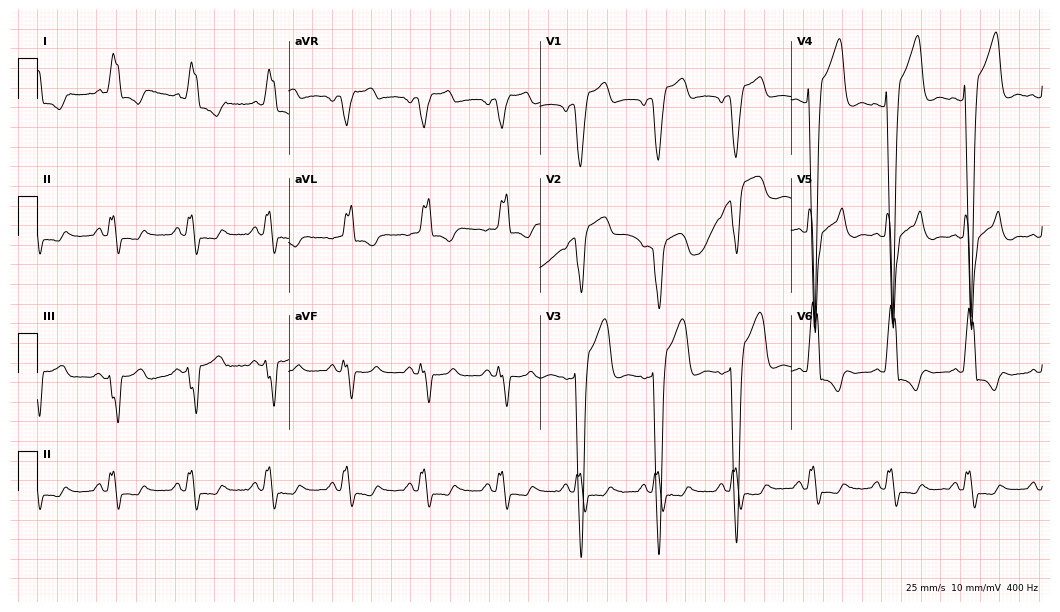
Resting 12-lead electrocardiogram (10.2-second recording at 400 Hz). Patient: a man, 83 years old. The tracing shows left bundle branch block.